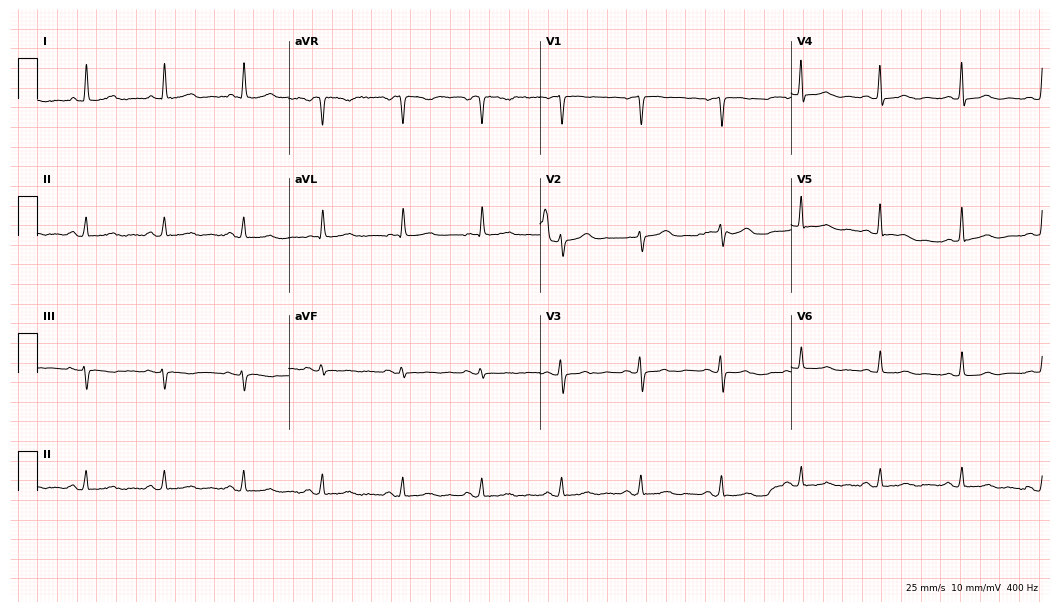
12-lead ECG from a female patient, 78 years old. No first-degree AV block, right bundle branch block, left bundle branch block, sinus bradycardia, atrial fibrillation or sinus tachycardia recorded for this tracing.